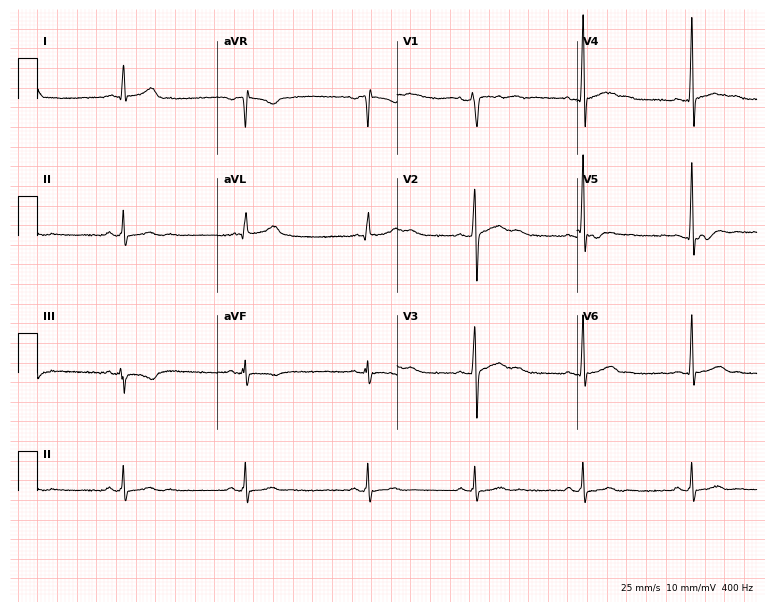
12-lead ECG (7.3-second recording at 400 Hz) from a 28-year-old male. Labelled as a normal ECG.